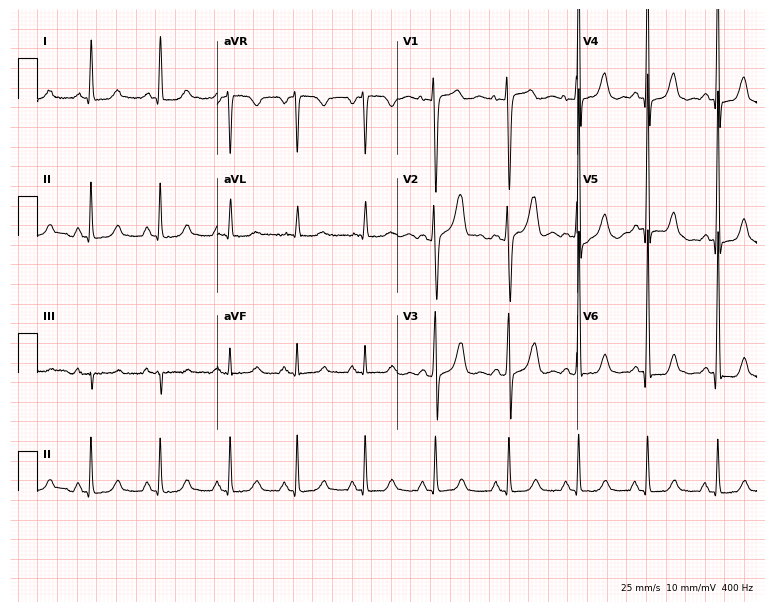
12-lead ECG from a 47-year-old female (7.3-second recording at 400 Hz). No first-degree AV block, right bundle branch block, left bundle branch block, sinus bradycardia, atrial fibrillation or sinus tachycardia recorded for this tracing. Findings outside these six are not listed.